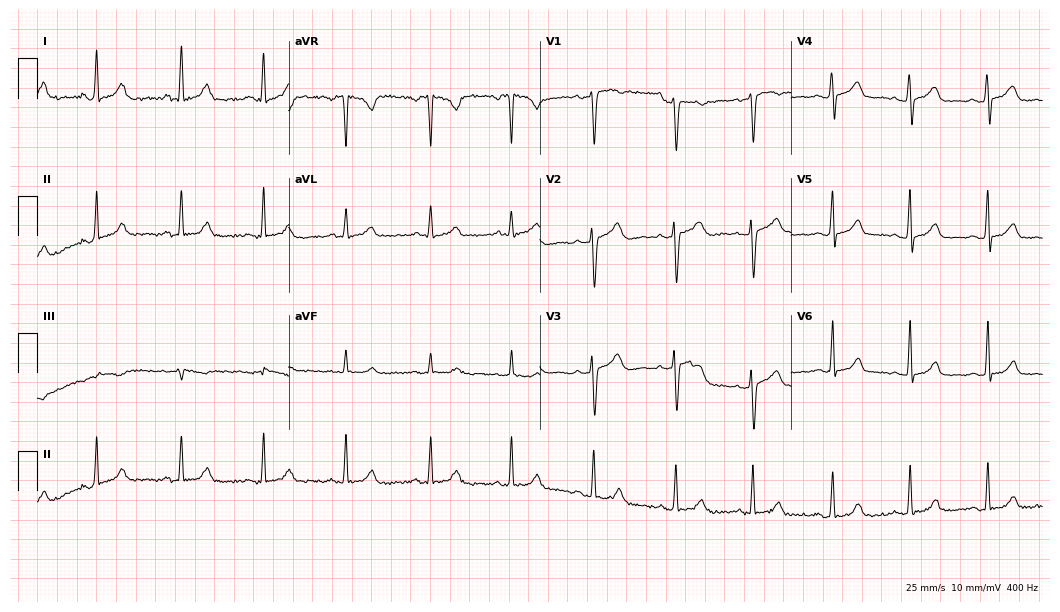
12-lead ECG from a woman, 33 years old. Recorded interpretation: within normal limits.